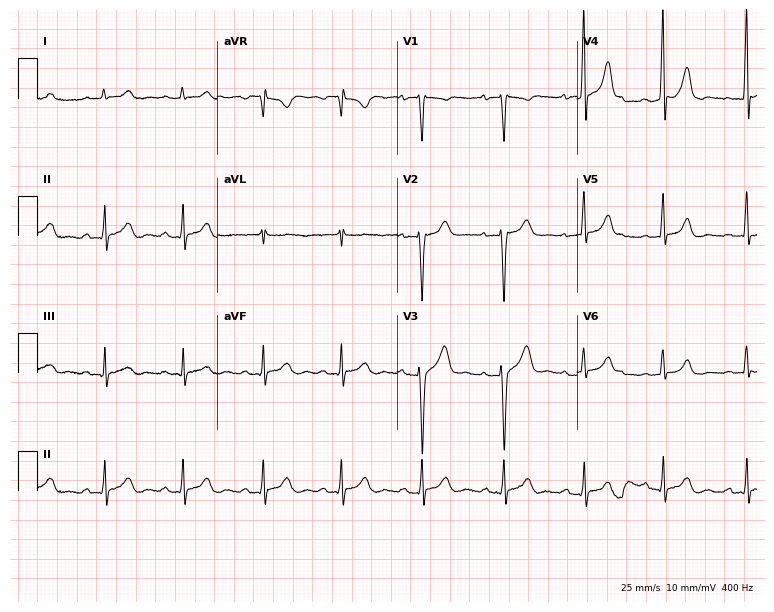
Standard 12-lead ECG recorded from a 30-year-old female patient. Read as a normal ECG.